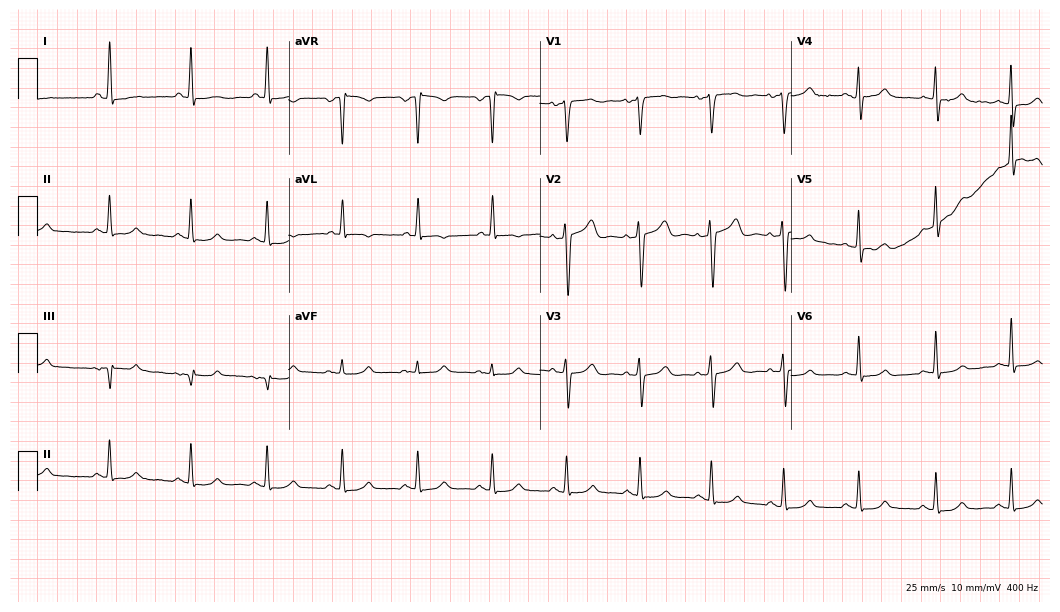
Electrocardiogram, a female patient, 42 years old. Of the six screened findings (first-degree AV block, right bundle branch block, left bundle branch block, sinus bradycardia, atrial fibrillation, sinus tachycardia), none is recorded.